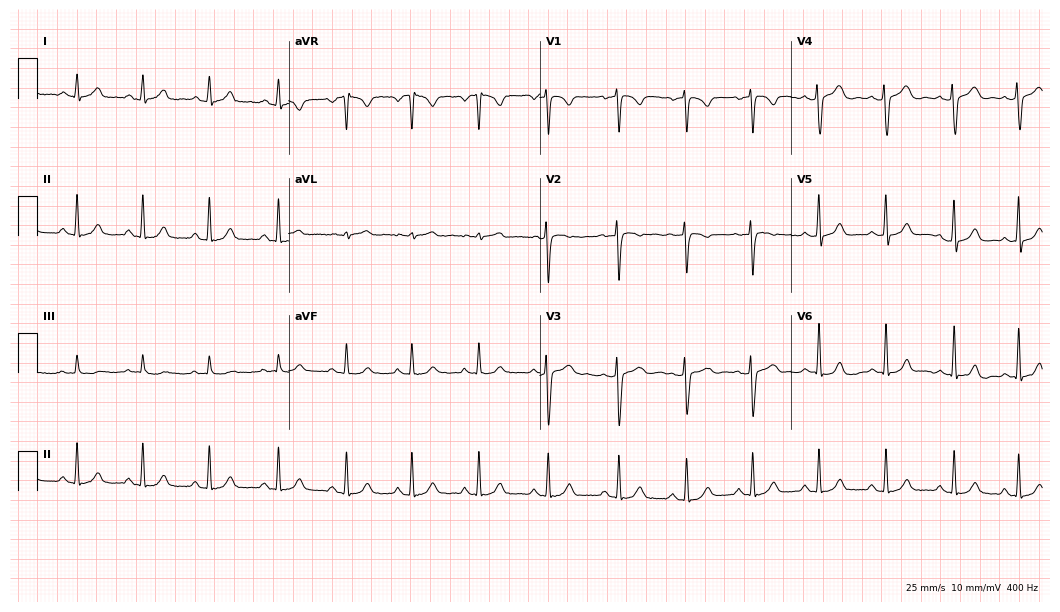
Standard 12-lead ECG recorded from a 22-year-old female patient (10.2-second recording at 400 Hz). Read as a normal ECG.